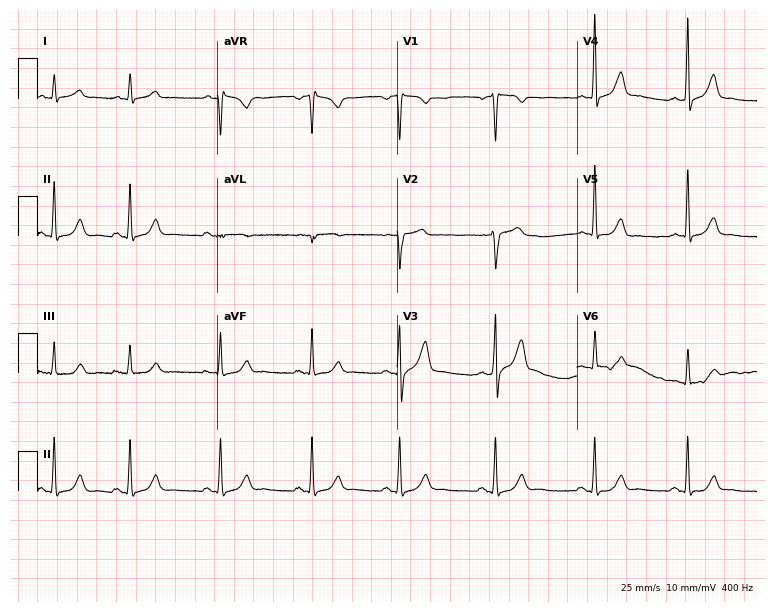
Electrocardiogram (7.3-second recording at 400 Hz), a male patient, 41 years old. Overall reading on record: normal ECG.